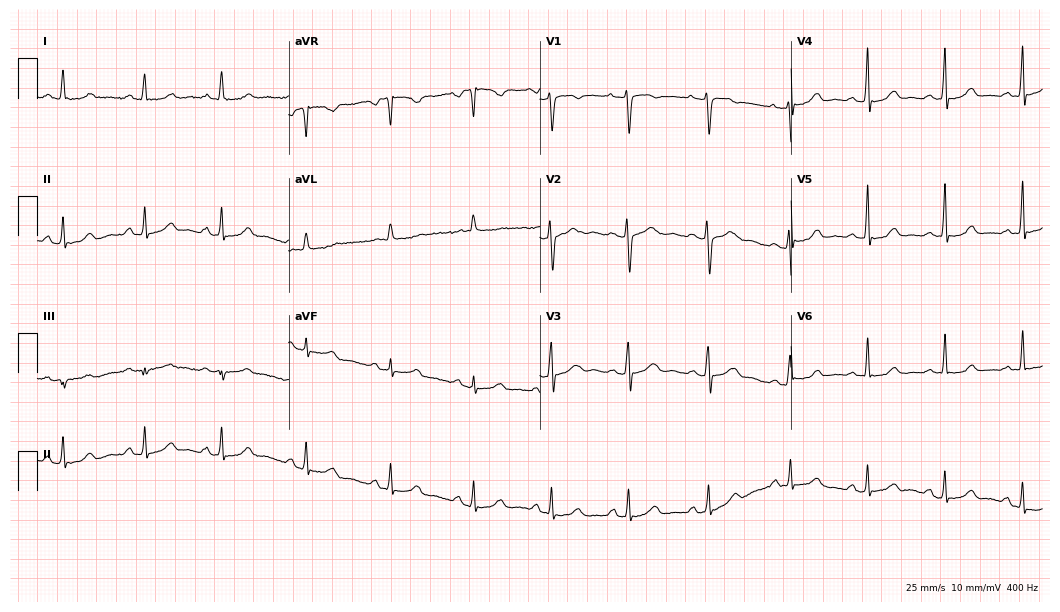
Standard 12-lead ECG recorded from a 27-year-old female patient (10.2-second recording at 400 Hz). Read as a normal ECG.